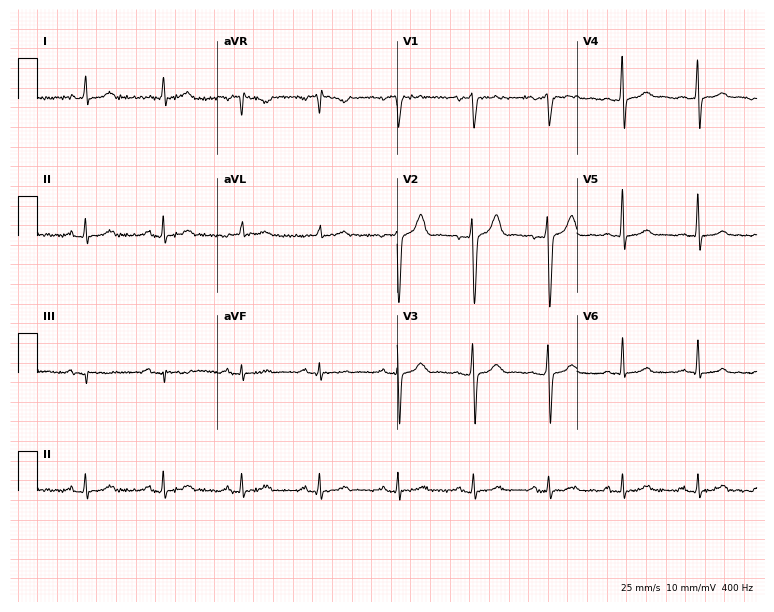
Electrocardiogram (7.3-second recording at 400 Hz), a 28-year-old male patient. Overall reading on record: normal ECG.